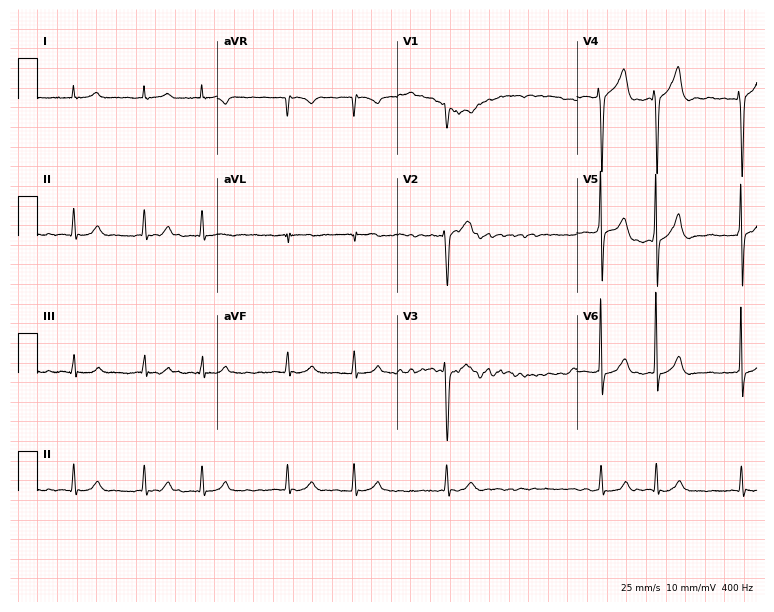
12-lead ECG (7.3-second recording at 400 Hz) from a man, 78 years old. Findings include atrial fibrillation.